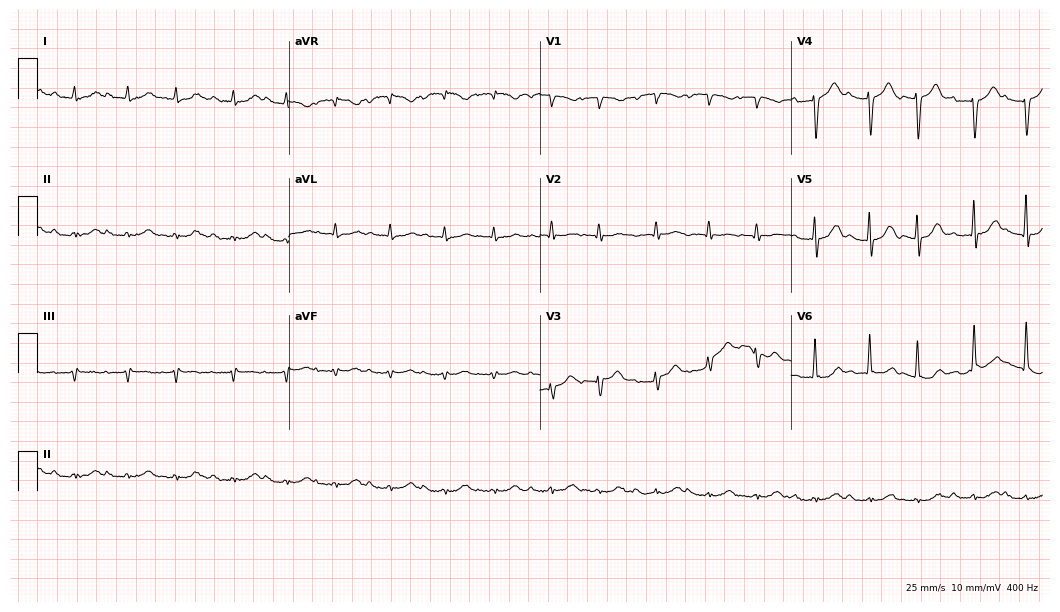
Resting 12-lead electrocardiogram. Patient: a female, 81 years old. The tracing shows sinus tachycardia (a sinus rate of 100 beats per minute or more).